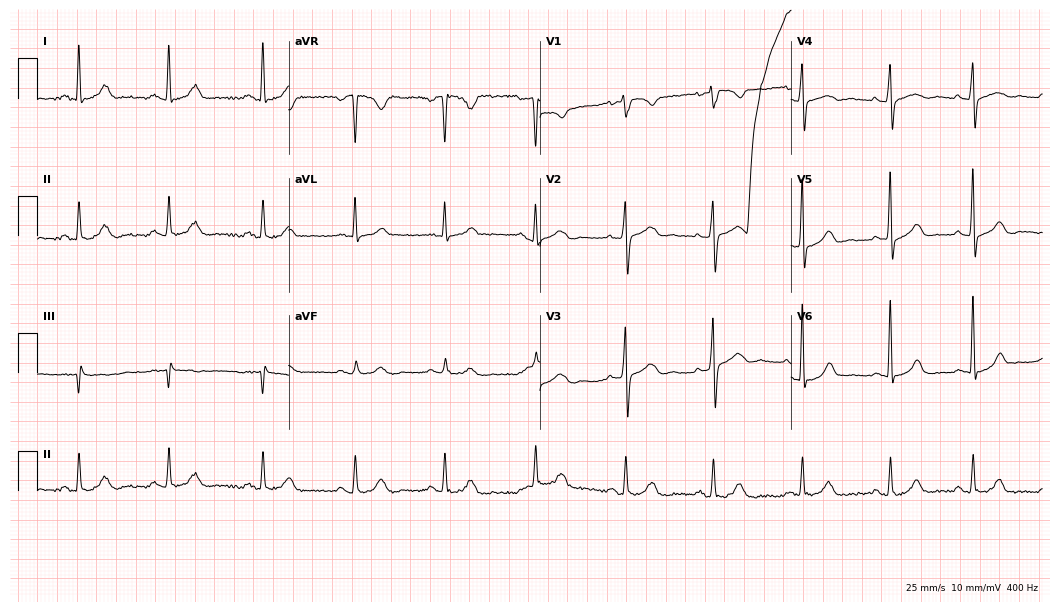
Electrocardiogram, a 62-year-old woman. Overall reading on record: normal ECG.